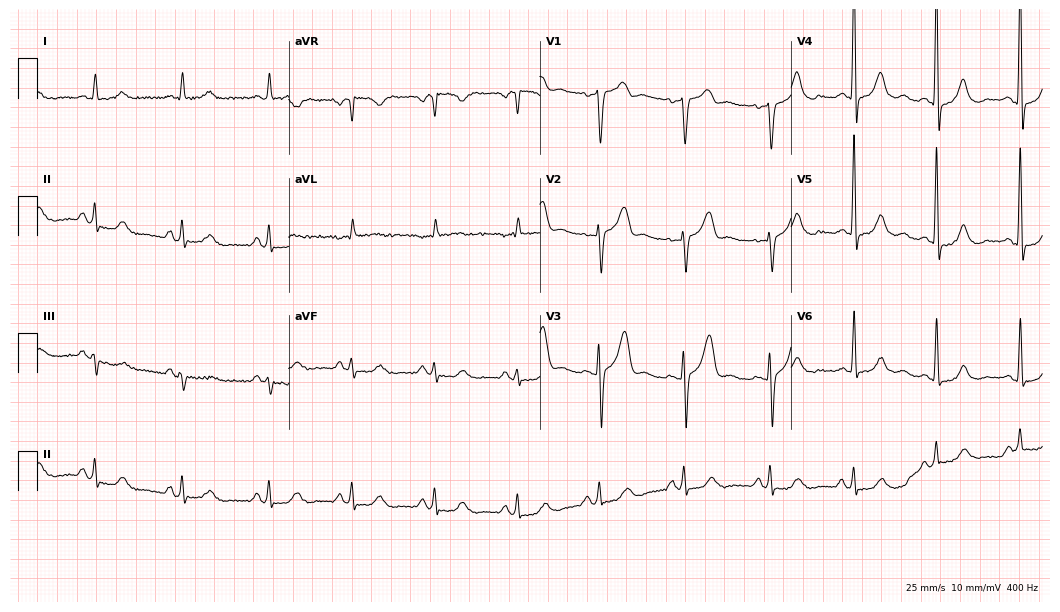
Electrocardiogram, a man, 83 years old. Overall reading on record: normal ECG.